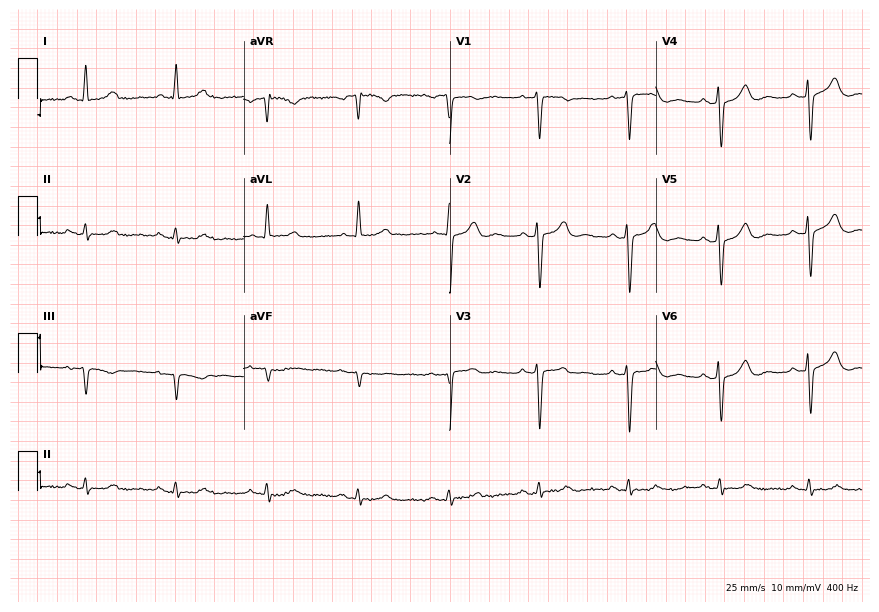
Standard 12-lead ECG recorded from a 73-year-old man. None of these six findings is recorded: first-degree AV block, right bundle branch block, left bundle branch block, sinus bradycardia, atrial fibrillation, sinus tachycardia. Findings outside these six are not listed.